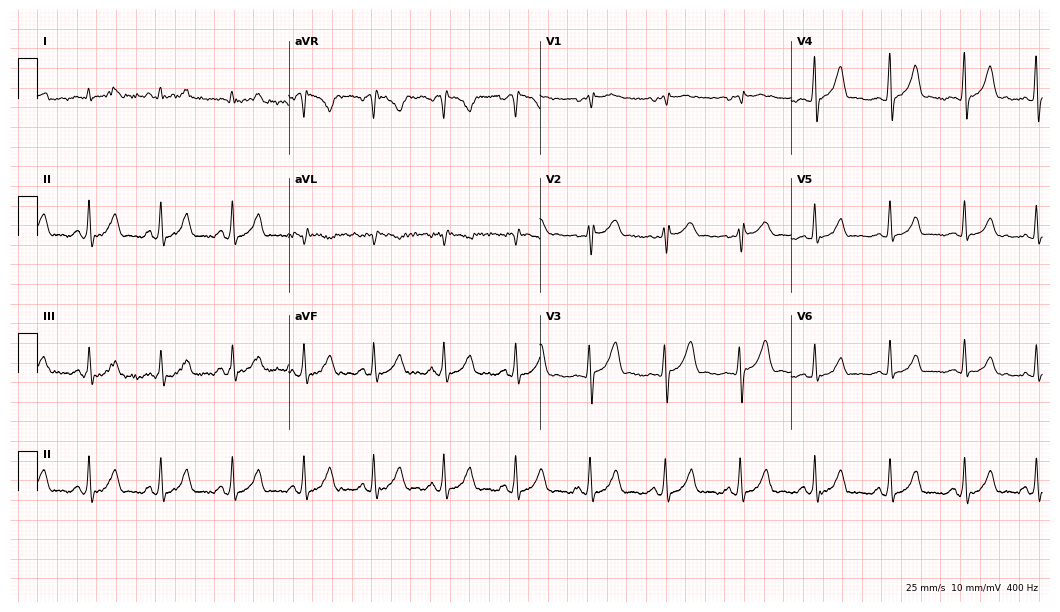
Standard 12-lead ECG recorded from a male patient, 37 years old (10.2-second recording at 400 Hz). Read as a normal ECG.